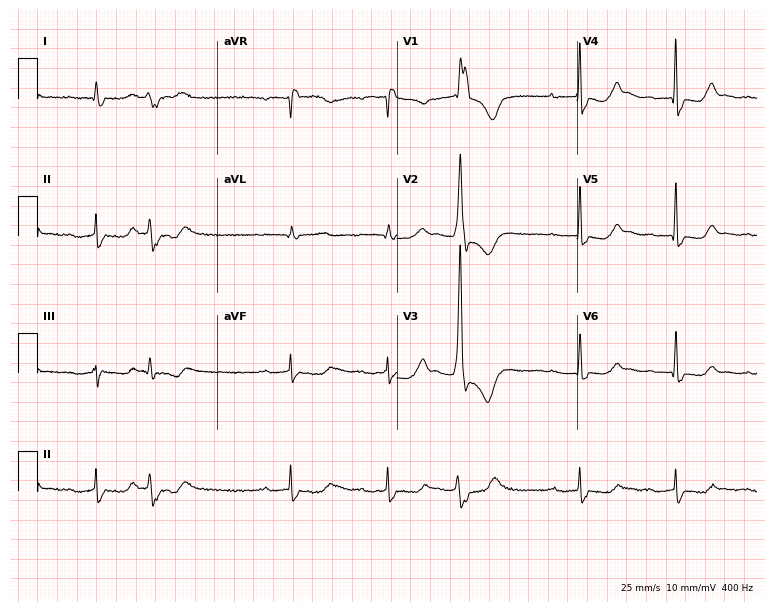
12-lead ECG from a male, 60 years old. Findings include right bundle branch block (RBBB).